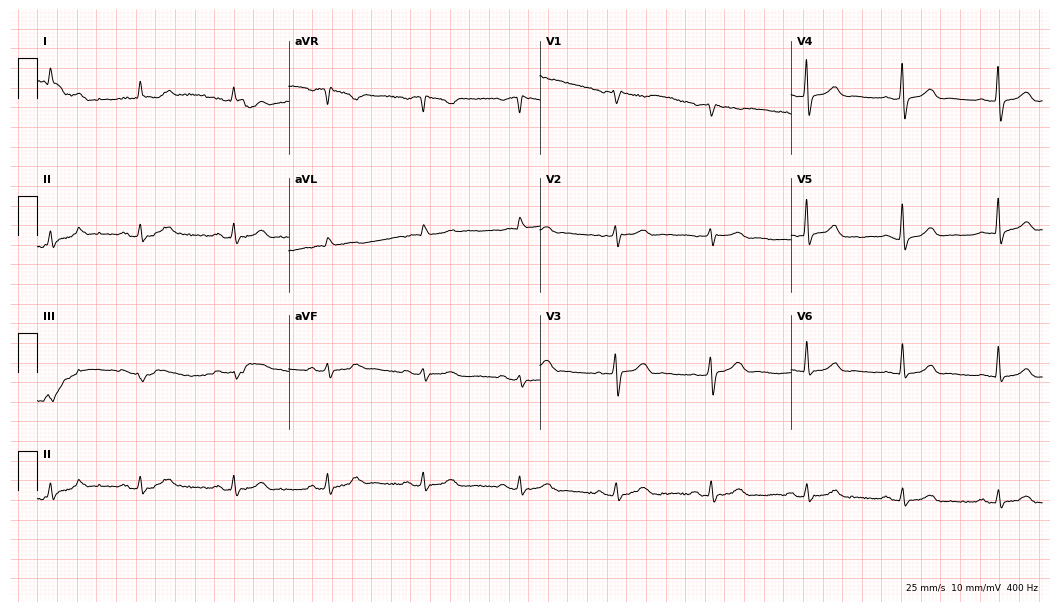
Resting 12-lead electrocardiogram (10.2-second recording at 400 Hz). Patient: a 69-year-old male. Read as a normal ECG.